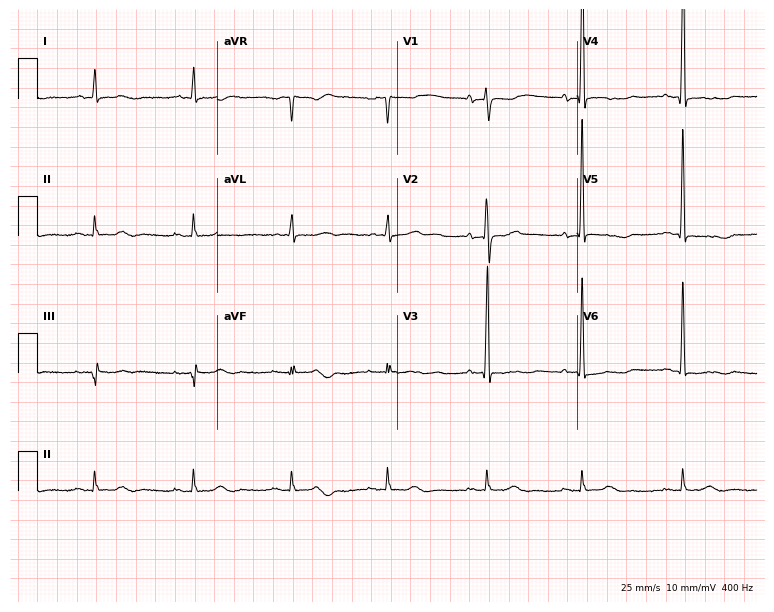
ECG (7.3-second recording at 400 Hz) — a male patient, 78 years old. Screened for six findings — first-degree AV block, right bundle branch block, left bundle branch block, sinus bradycardia, atrial fibrillation, sinus tachycardia — none is recorded.